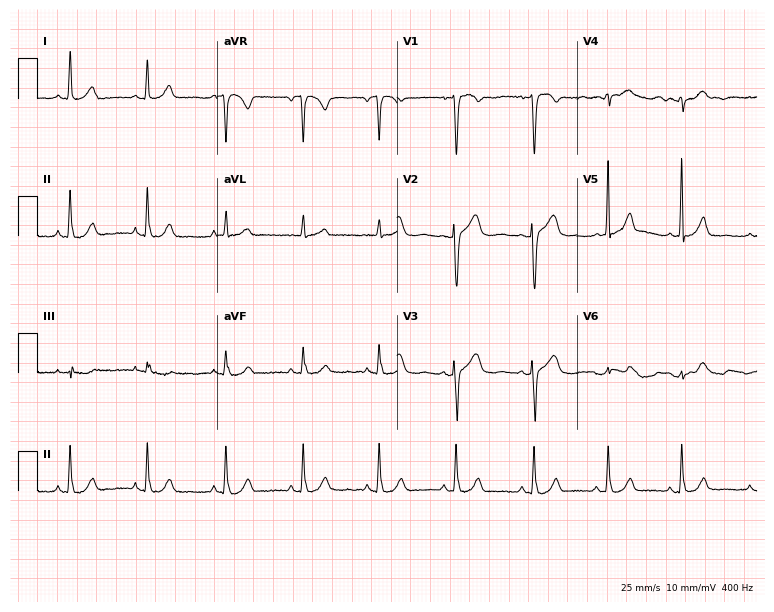
12-lead ECG from a 54-year-old female patient. Labelled as a normal ECG.